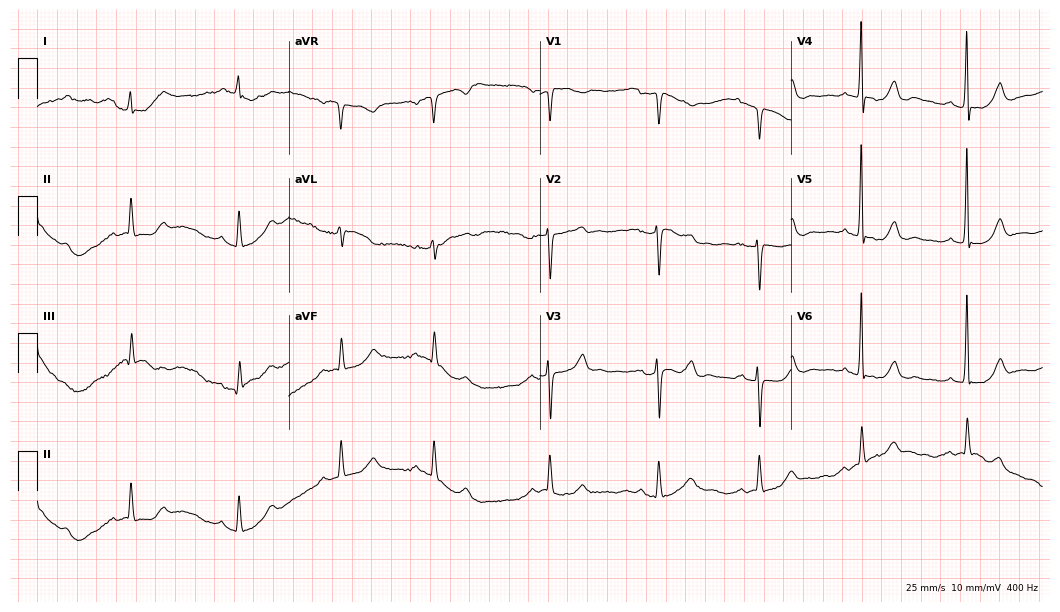
12-lead ECG from a woman, 74 years old. Recorded interpretation: within normal limits.